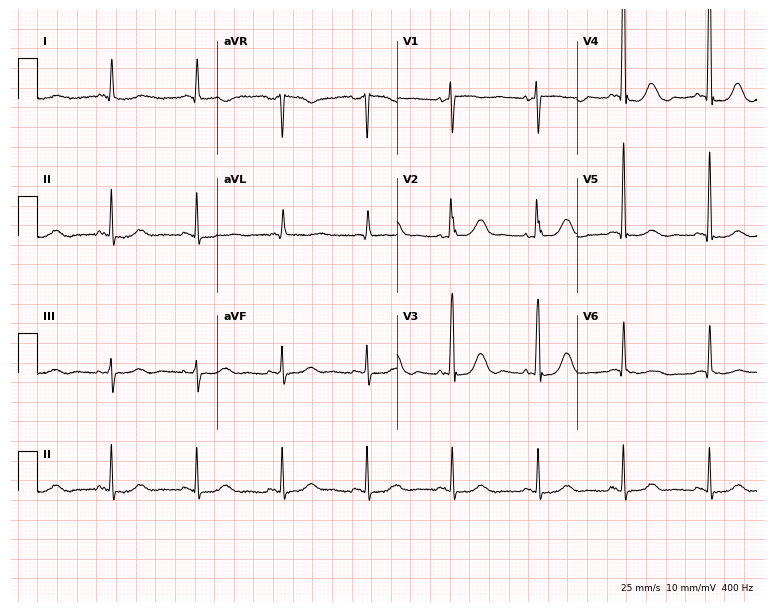
12-lead ECG (7.3-second recording at 400 Hz) from an 81-year-old woman. Screened for six findings — first-degree AV block, right bundle branch block, left bundle branch block, sinus bradycardia, atrial fibrillation, sinus tachycardia — none is recorded.